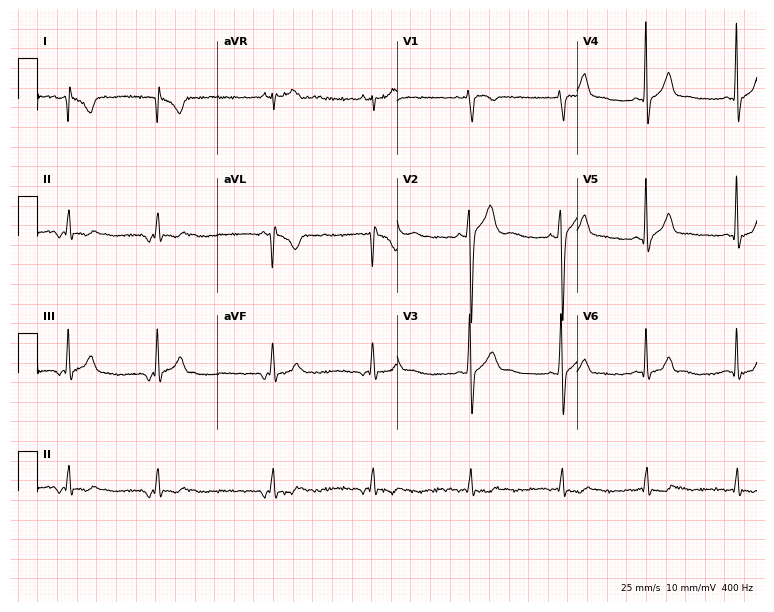
Standard 12-lead ECG recorded from a 21-year-old male. None of these six findings is recorded: first-degree AV block, right bundle branch block, left bundle branch block, sinus bradycardia, atrial fibrillation, sinus tachycardia.